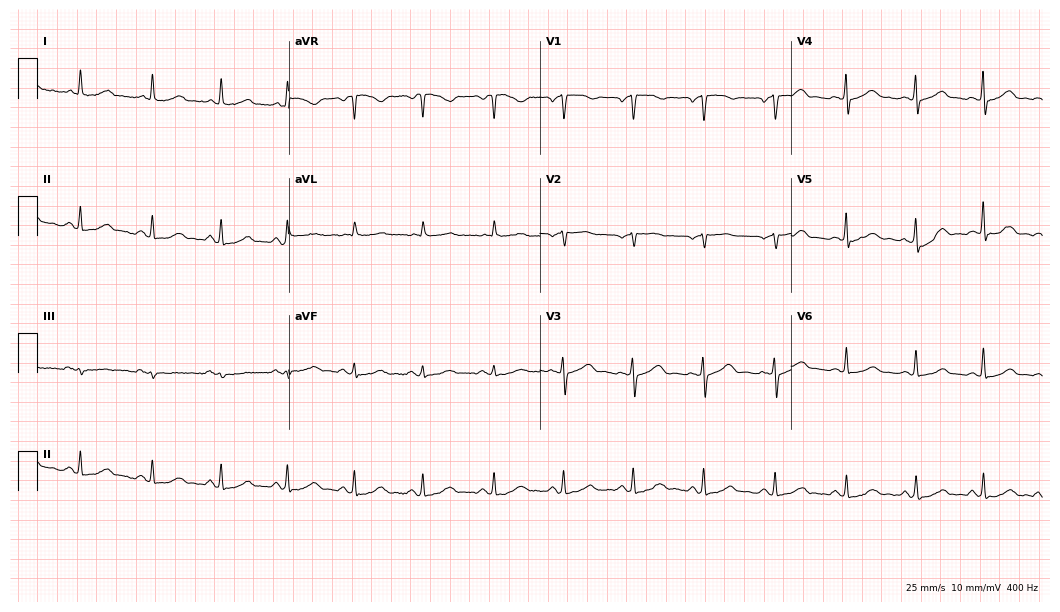
Electrocardiogram (10.2-second recording at 400 Hz), a 63-year-old female patient. Overall reading on record: normal ECG.